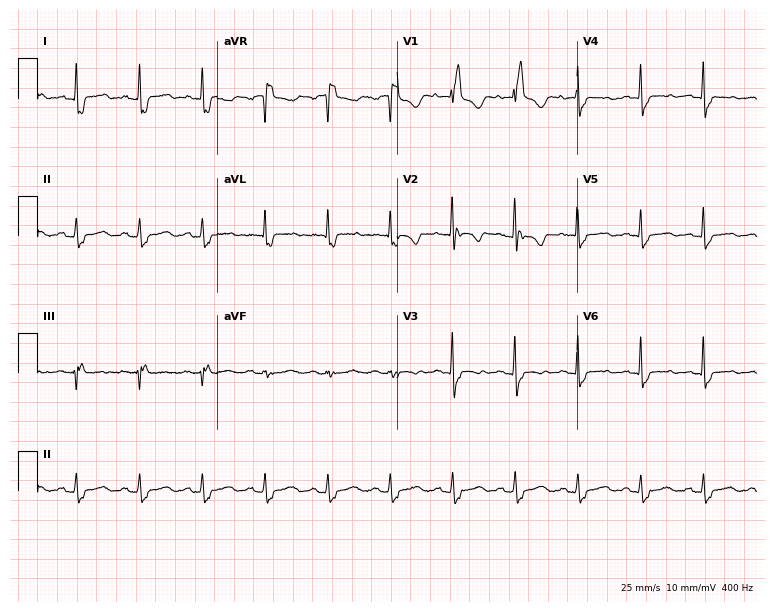
12-lead ECG from a 58-year-old female. Findings include right bundle branch block (RBBB).